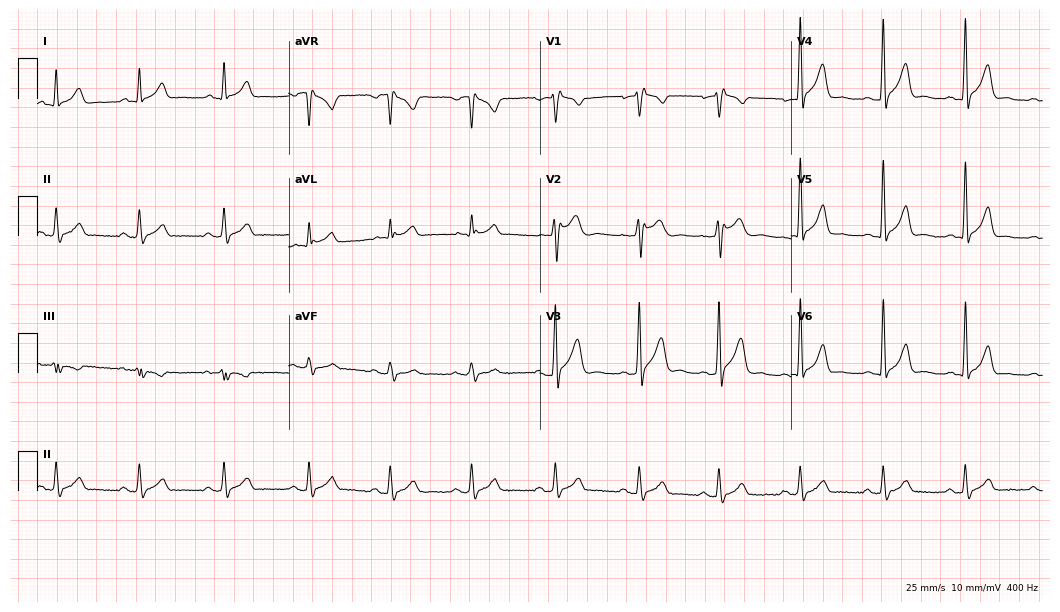
12-lead ECG (10.2-second recording at 400 Hz) from a male, 27 years old. Screened for six findings — first-degree AV block, right bundle branch block, left bundle branch block, sinus bradycardia, atrial fibrillation, sinus tachycardia — none is recorded. Only these six findings were labelled.